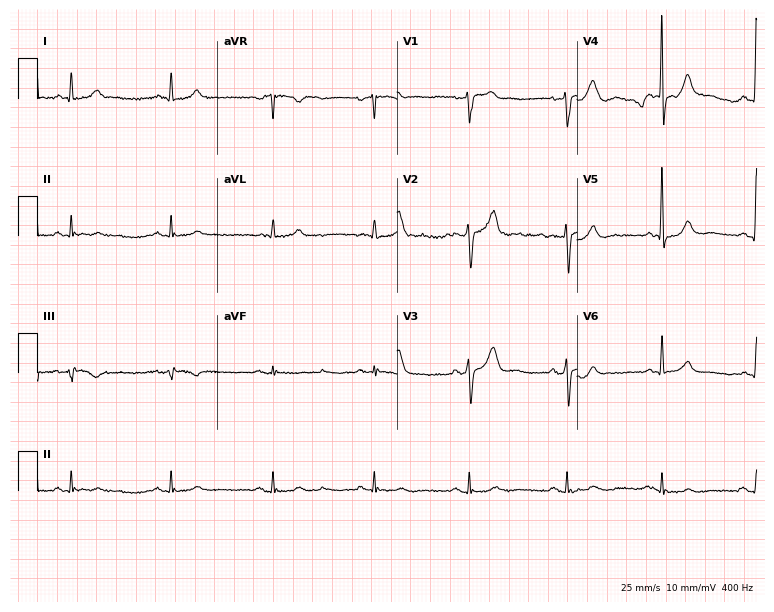
ECG — a male, 58 years old. Screened for six findings — first-degree AV block, right bundle branch block (RBBB), left bundle branch block (LBBB), sinus bradycardia, atrial fibrillation (AF), sinus tachycardia — none is recorded.